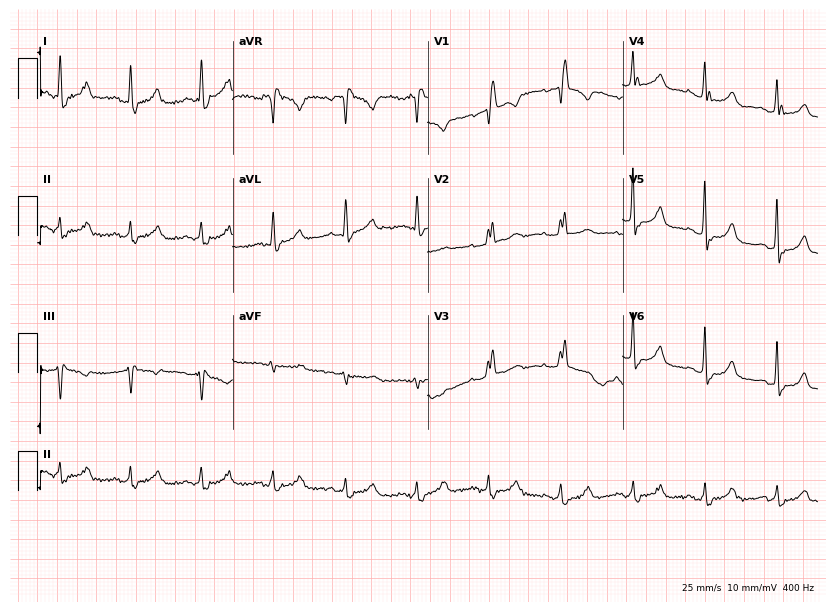
12-lead ECG (8-second recording at 400 Hz) from a female, 53 years old. Screened for six findings — first-degree AV block, right bundle branch block (RBBB), left bundle branch block (LBBB), sinus bradycardia, atrial fibrillation (AF), sinus tachycardia — none is recorded.